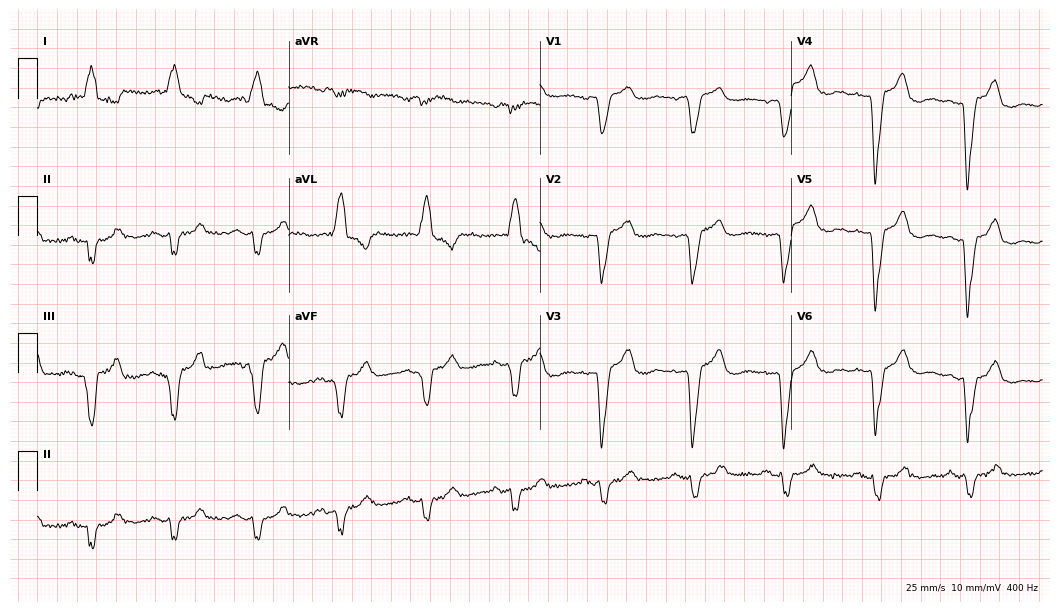
Resting 12-lead electrocardiogram (10.2-second recording at 400 Hz). Patient: a female, 76 years old. The tracing shows left bundle branch block.